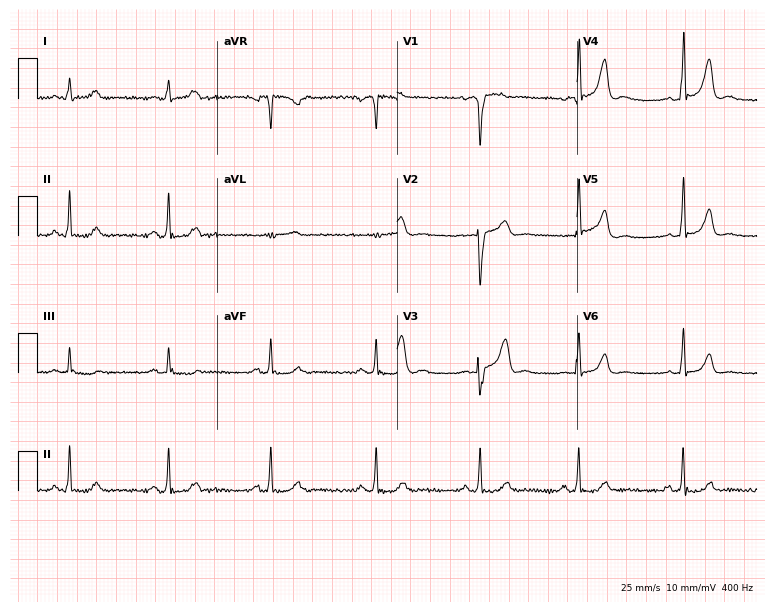
Resting 12-lead electrocardiogram (7.3-second recording at 400 Hz). Patient: a 35-year-old man. Read as a normal ECG.